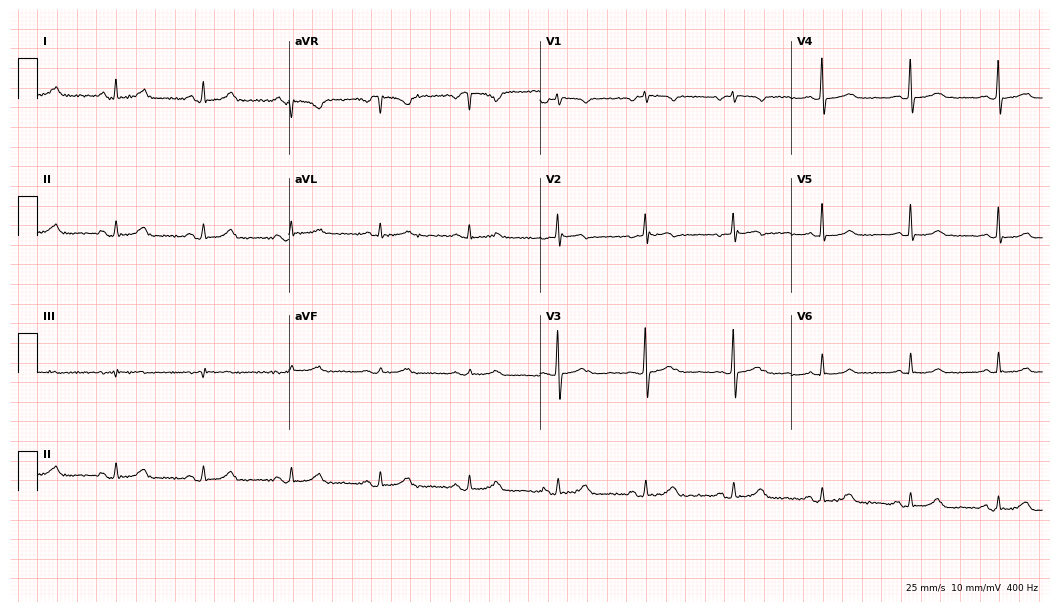
ECG (10.2-second recording at 400 Hz) — a 58-year-old female patient. Screened for six findings — first-degree AV block, right bundle branch block, left bundle branch block, sinus bradycardia, atrial fibrillation, sinus tachycardia — none is recorded. Only these six findings were labelled.